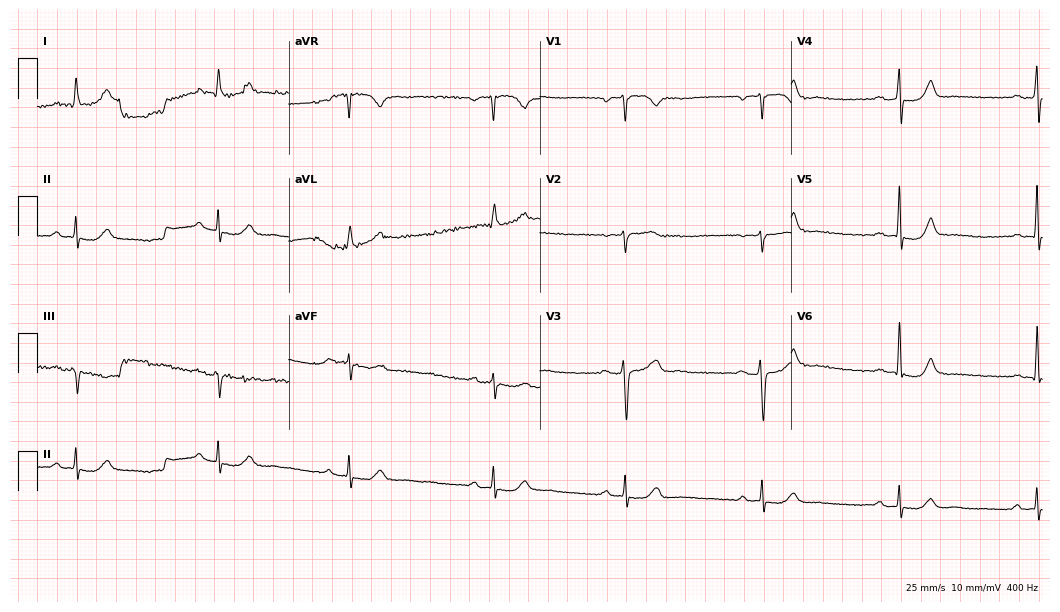
Electrocardiogram (10.2-second recording at 400 Hz), a 70-year-old man. Interpretation includes sinus bradycardia (a sinus rate of 50 beats per minute or less).